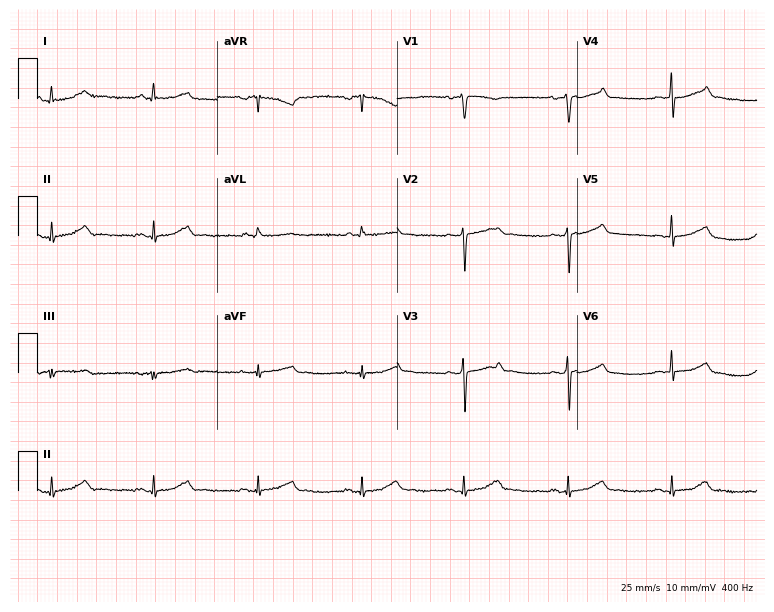
Standard 12-lead ECG recorded from a 60-year-old woman. Read as a normal ECG.